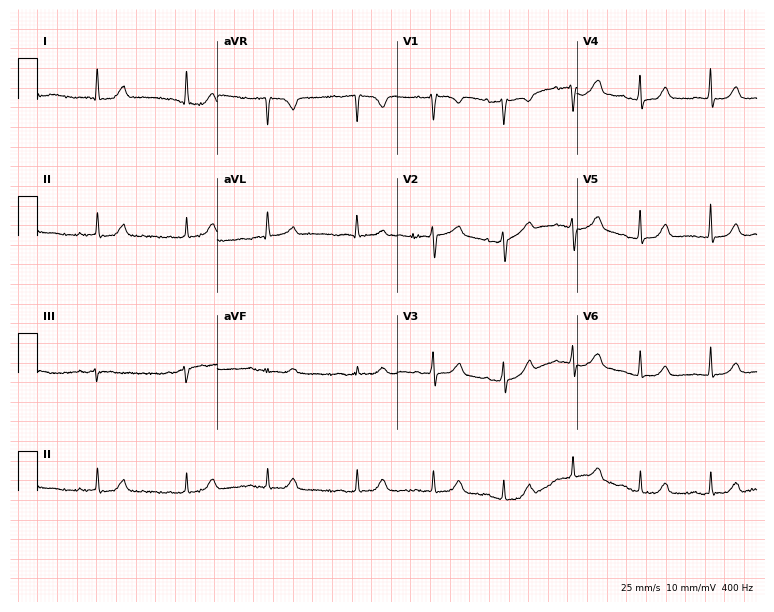
Standard 12-lead ECG recorded from a female, 81 years old. Read as a normal ECG.